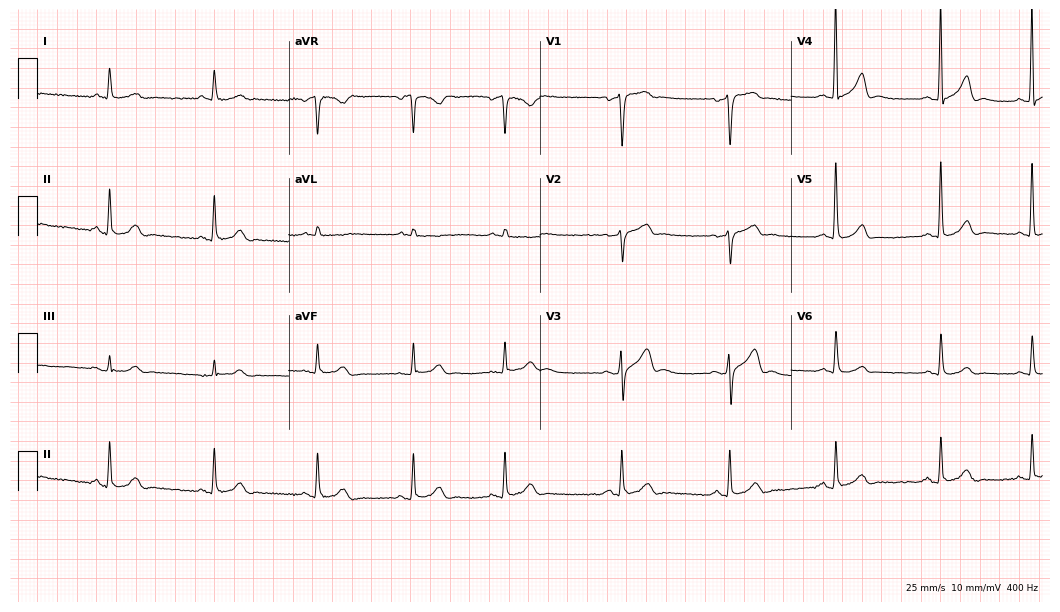
Resting 12-lead electrocardiogram. Patient: a 72-year-old male. Read as a normal ECG.